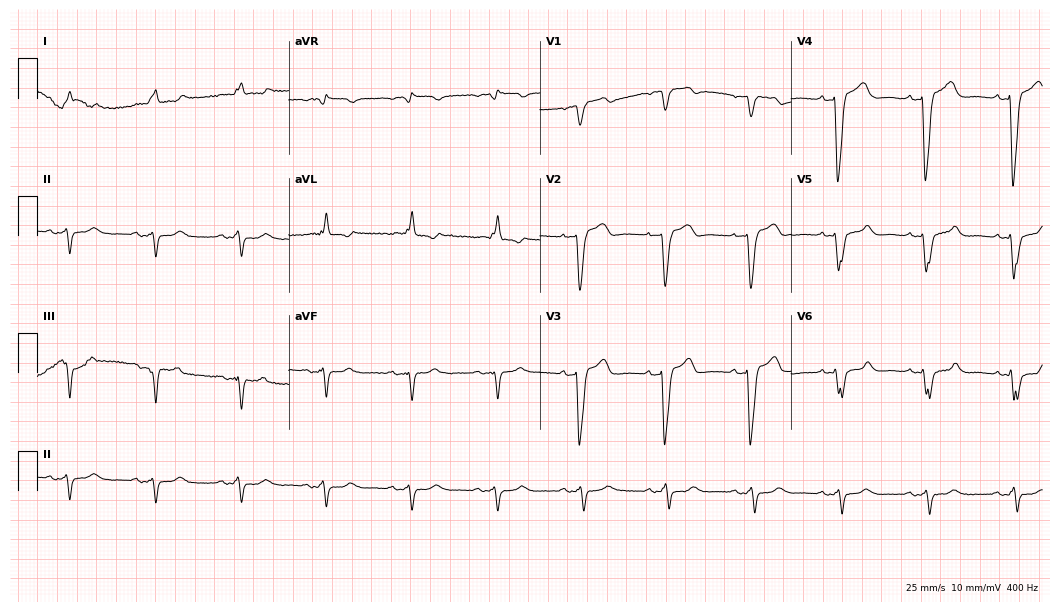
12-lead ECG from a female, 75 years old (10.2-second recording at 400 Hz). No first-degree AV block, right bundle branch block (RBBB), left bundle branch block (LBBB), sinus bradycardia, atrial fibrillation (AF) or sinus tachycardia recorded for this tracing.